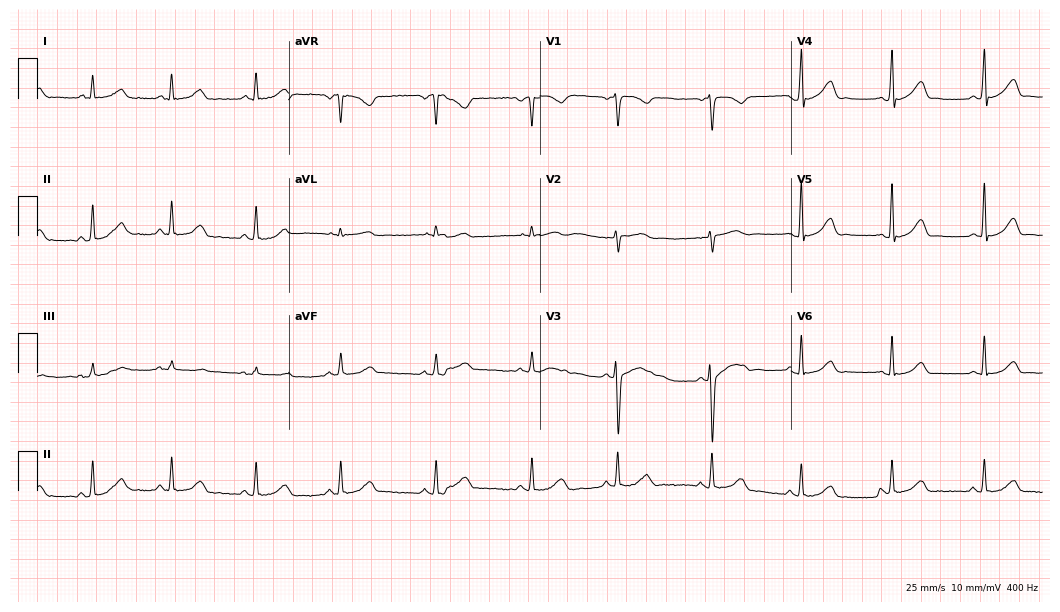
Electrocardiogram (10.2-second recording at 400 Hz), a female, 32 years old. Overall reading on record: normal ECG.